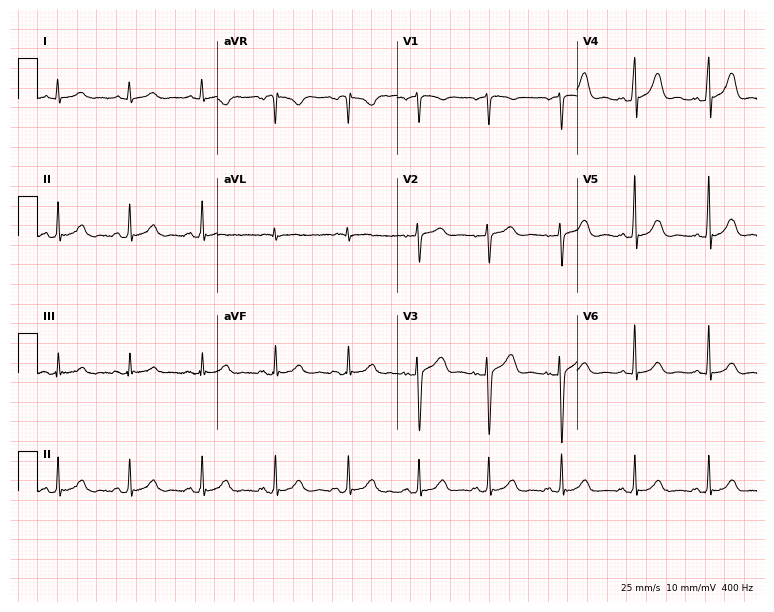
Standard 12-lead ECG recorded from a female, 38 years old (7.3-second recording at 400 Hz). Read as a normal ECG.